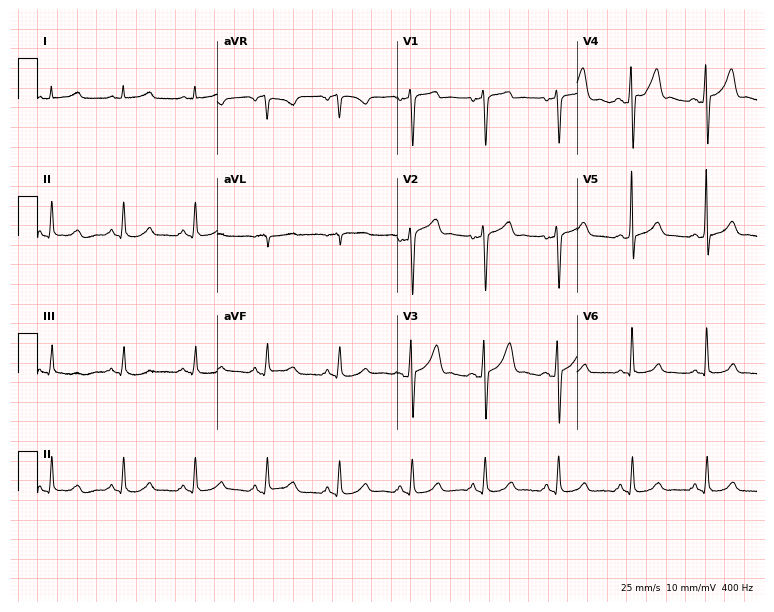
ECG — a man, 50 years old. Labelled as a normal ECG.